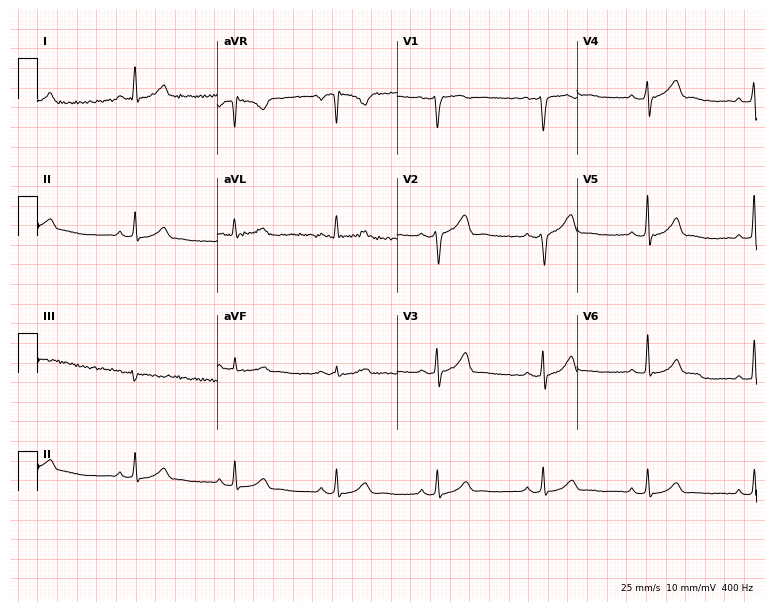
Resting 12-lead electrocardiogram. Patient: a 32-year-old female. None of these six findings is recorded: first-degree AV block, right bundle branch block, left bundle branch block, sinus bradycardia, atrial fibrillation, sinus tachycardia.